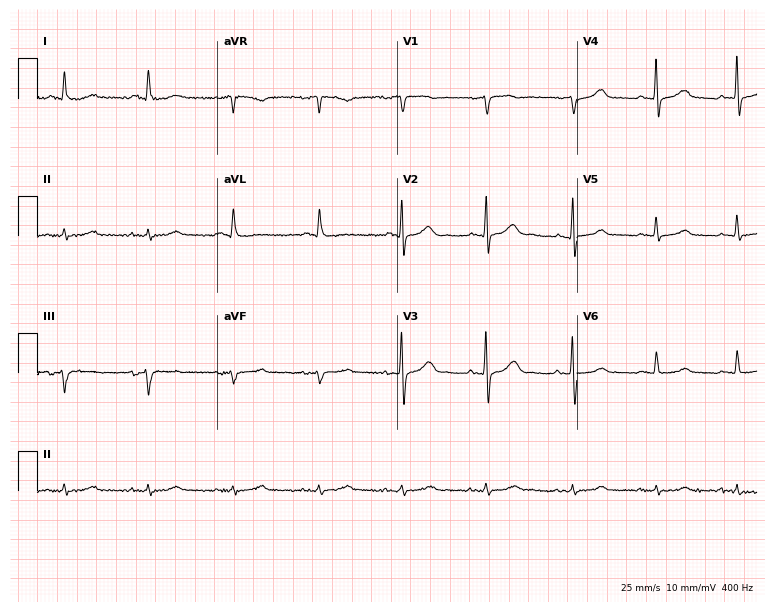
Electrocardiogram (7.3-second recording at 400 Hz), a 70-year-old female. Of the six screened findings (first-degree AV block, right bundle branch block, left bundle branch block, sinus bradycardia, atrial fibrillation, sinus tachycardia), none is recorded. Findings outside these six are not listed.